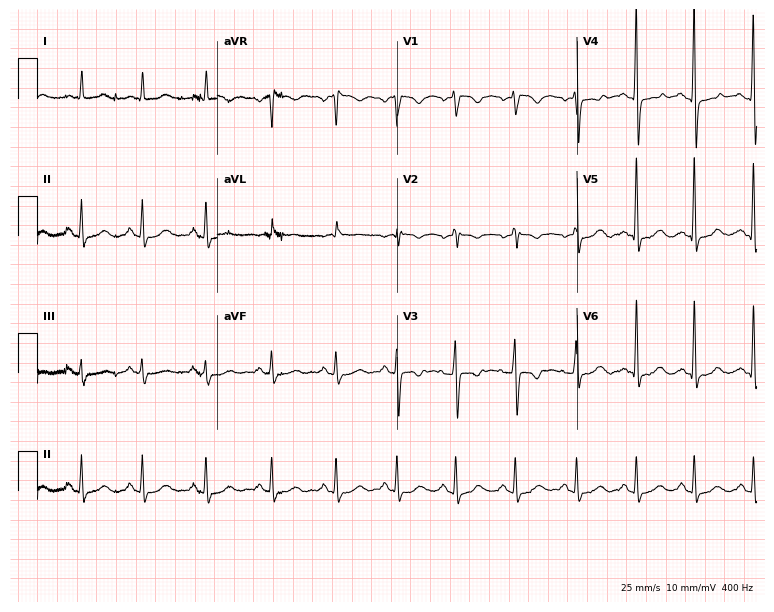
12-lead ECG (7.3-second recording at 400 Hz) from a 57-year-old male. Screened for six findings — first-degree AV block, right bundle branch block, left bundle branch block, sinus bradycardia, atrial fibrillation, sinus tachycardia — none is recorded. Other findings, if any, are not listed.